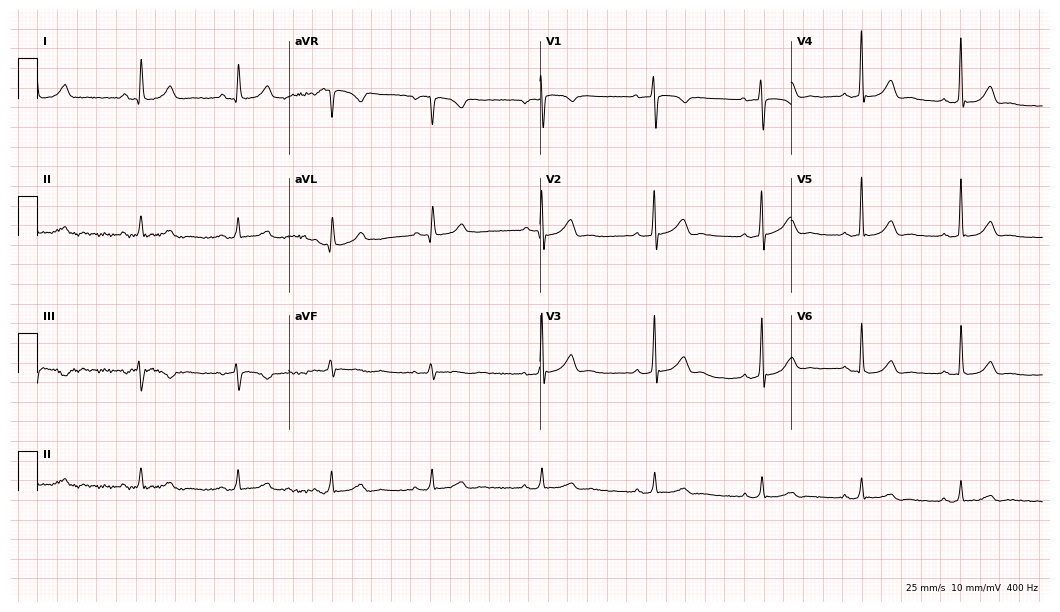
Resting 12-lead electrocardiogram (10.2-second recording at 400 Hz). Patient: a 32-year-old female. Read as a normal ECG.